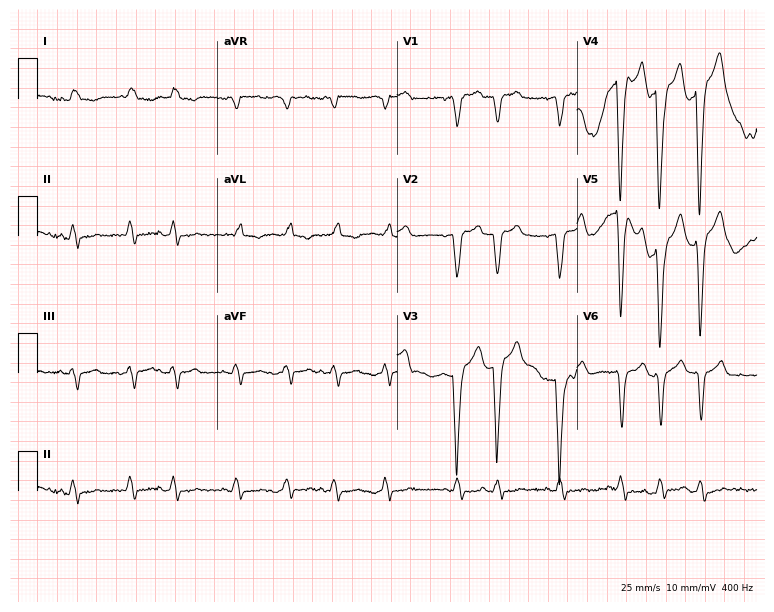
Resting 12-lead electrocardiogram (7.3-second recording at 400 Hz). Patient: an 81-year-old female. The tracing shows left bundle branch block, atrial fibrillation.